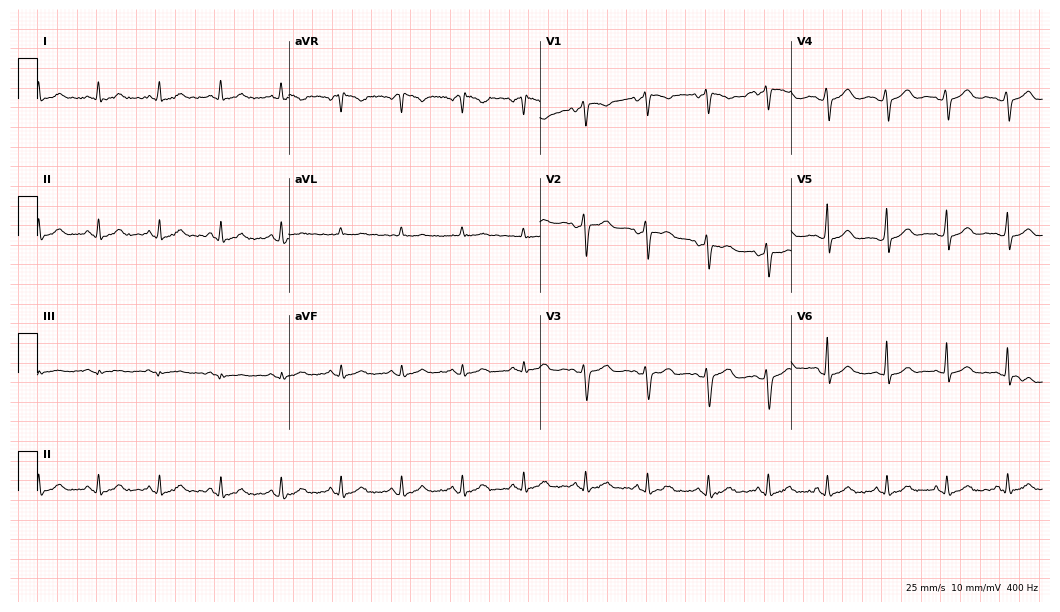
12-lead ECG from a woman, 26 years old. Labelled as a normal ECG.